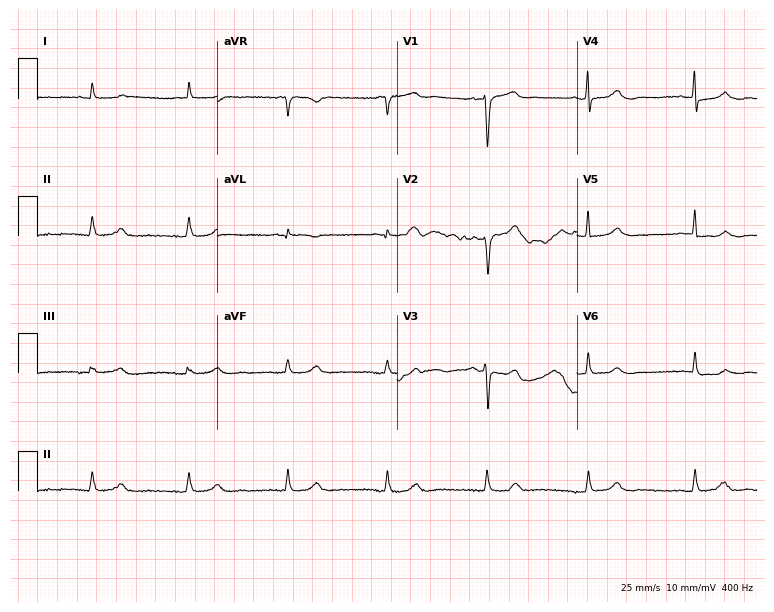
Electrocardiogram (7.3-second recording at 400 Hz), a 72-year-old man. Overall reading on record: normal ECG.